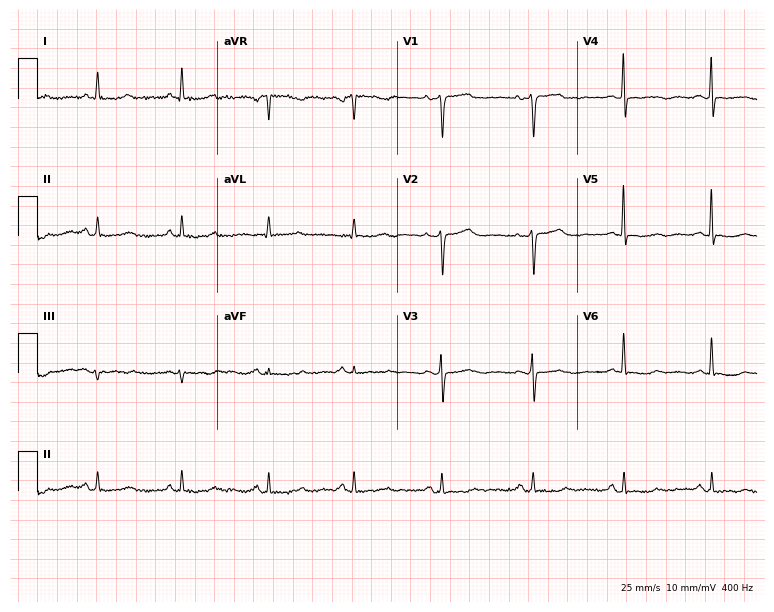
ECG — a 64-year-old female. Labelled as a normal ECG.